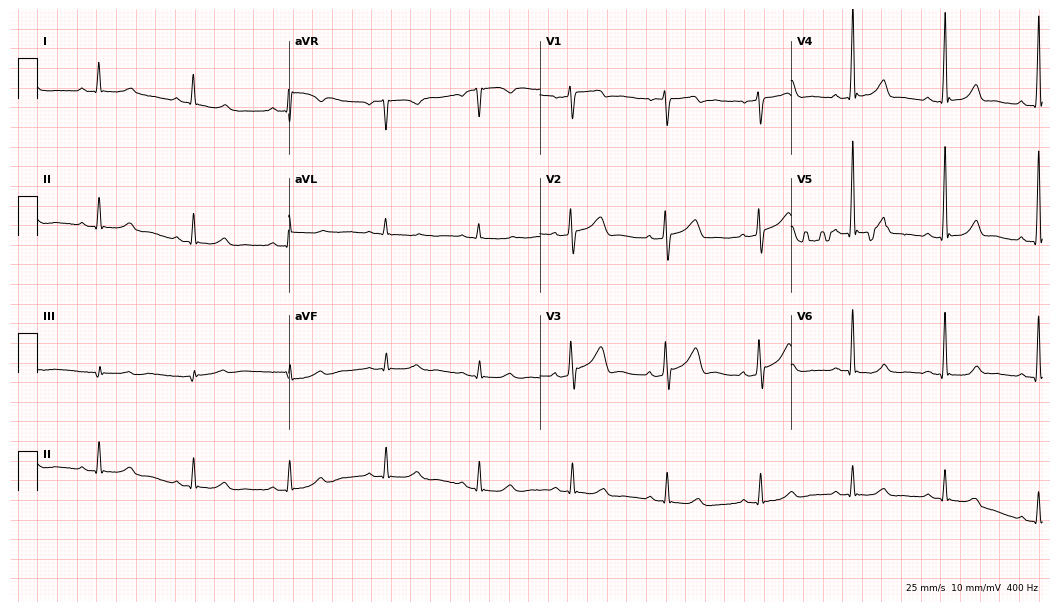
Resting 12-lead electrocardiogram. Patient: a 60-year-old man. None of these six findings is recorded: first-degree AV block, right bundle branch block, left bundle branch block, sinus bradycardia, atrial fibrillation, sinus tachycardia.